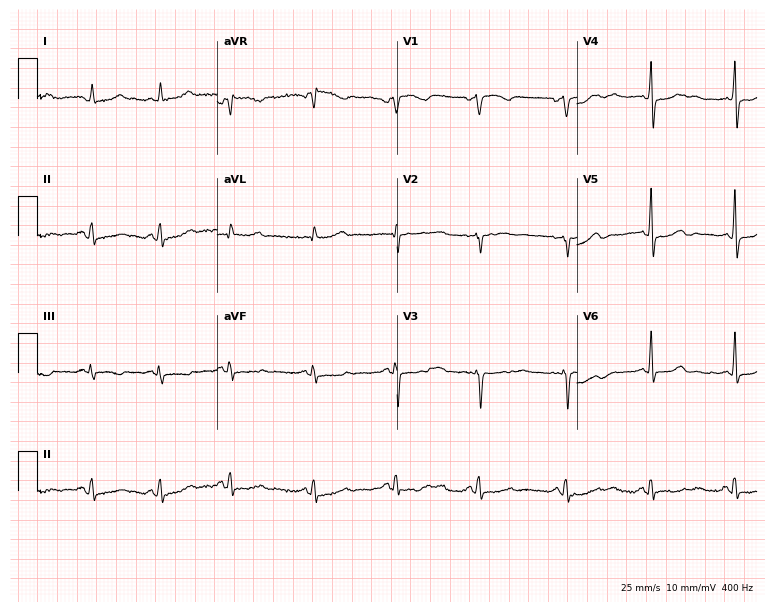
12-lead ECG from a woman, 57 years old. Screened for six findings — first-degree AV block, right bundle branch block, left bundle branch block, sinus bradycardia, atrial fibrillation, sinus tachycardia — none is recorded. Other findings, if any, are not listed.